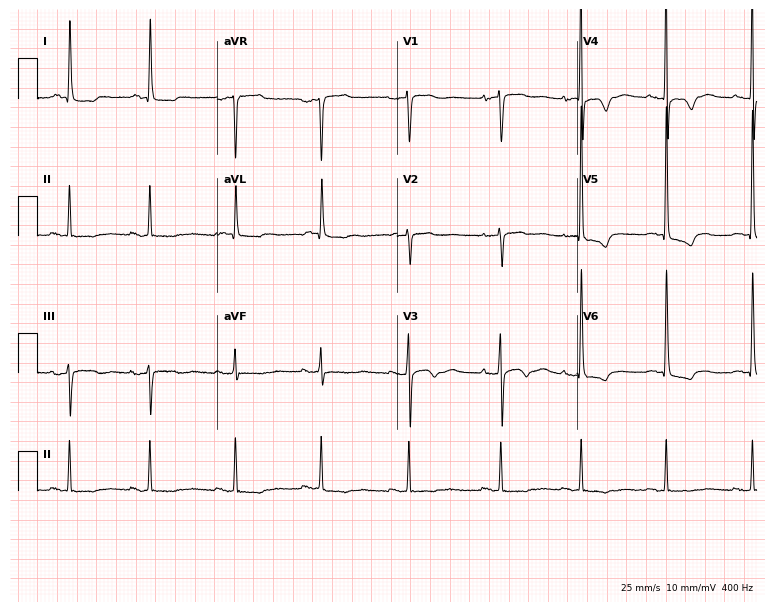
Resting 12-lead electrocardiogram. Patient: a 77-year-old female. None of these six findings is recorded: first-degree AV block, right bundle branch block, left bundle branch block, sinus bradycardia, atrial fibrillation, sinus tachycardia. Other findings, if any, are not listed.